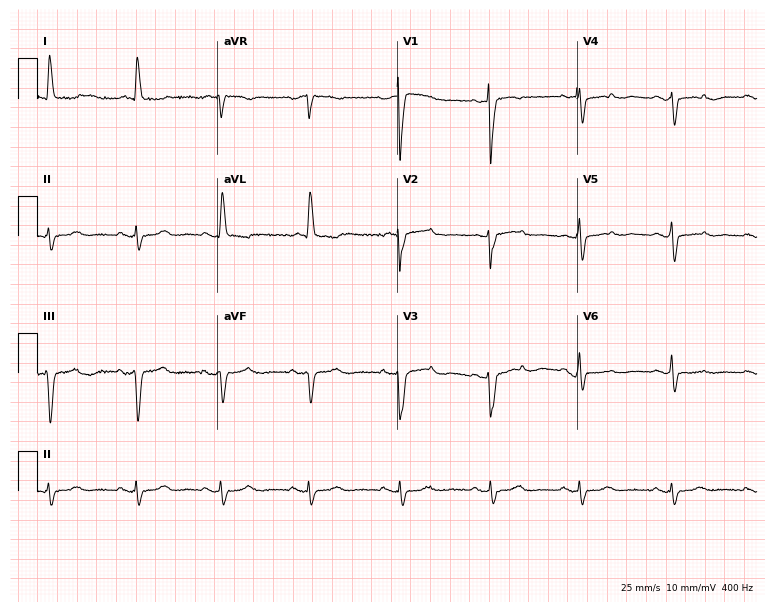
Standard 12-lead ECG recorded from a female, 80 years old. None of these six findings is recorded: first-degree AV block, right bundle branch block, left bundle branch block, sinus bradycardia, atrial fibrillation, sinus tachycardia. Findings outside these six are not listed.